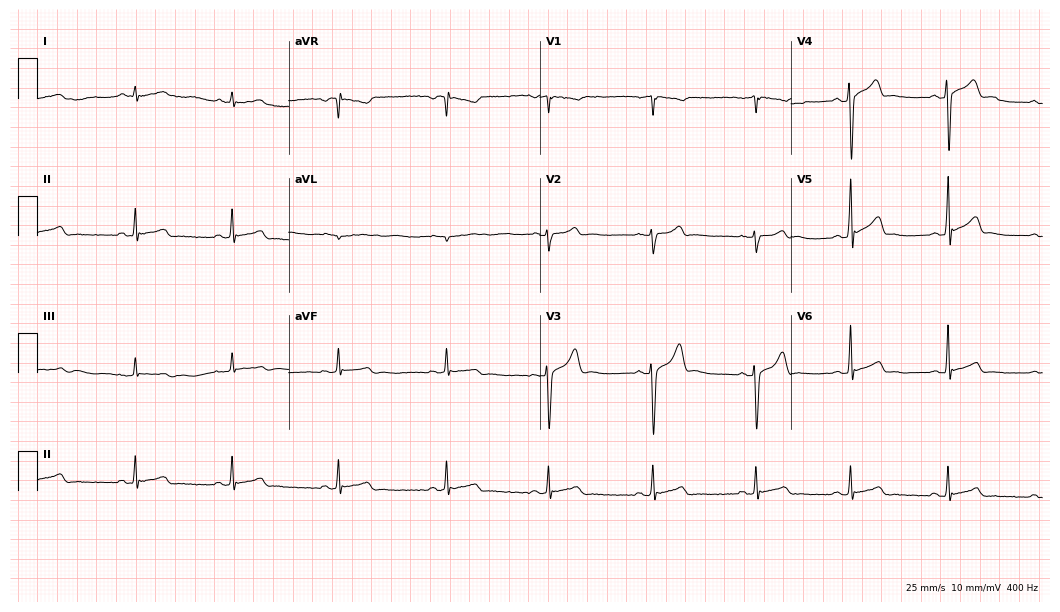
Resting 12-lead electrocardiogram. Patient: a male, 23 years old. Read as a normal ECG.